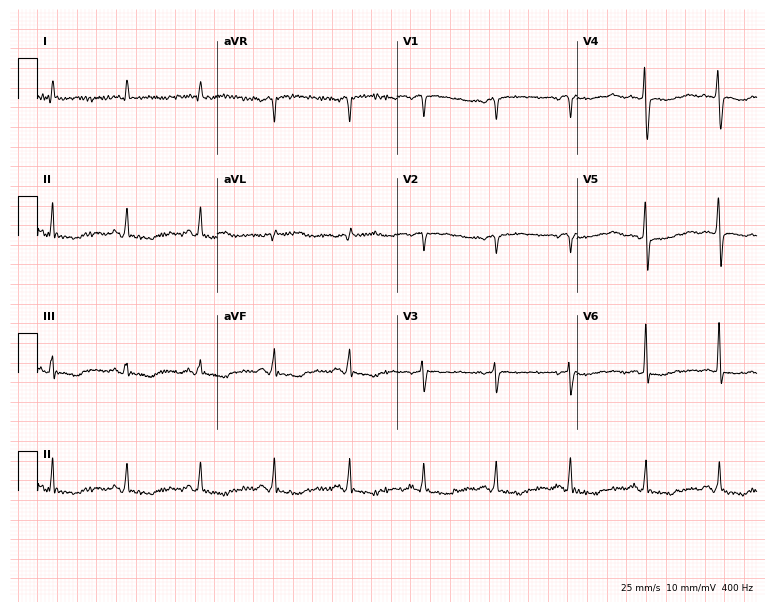
ECG — a woman, 68 years old. Screened for six findings — first-degree AV block, right bundle branch block, left bundle branch block, sinus bradycardia, atrial fibrillation, sinus tachycardia — none is recorded.